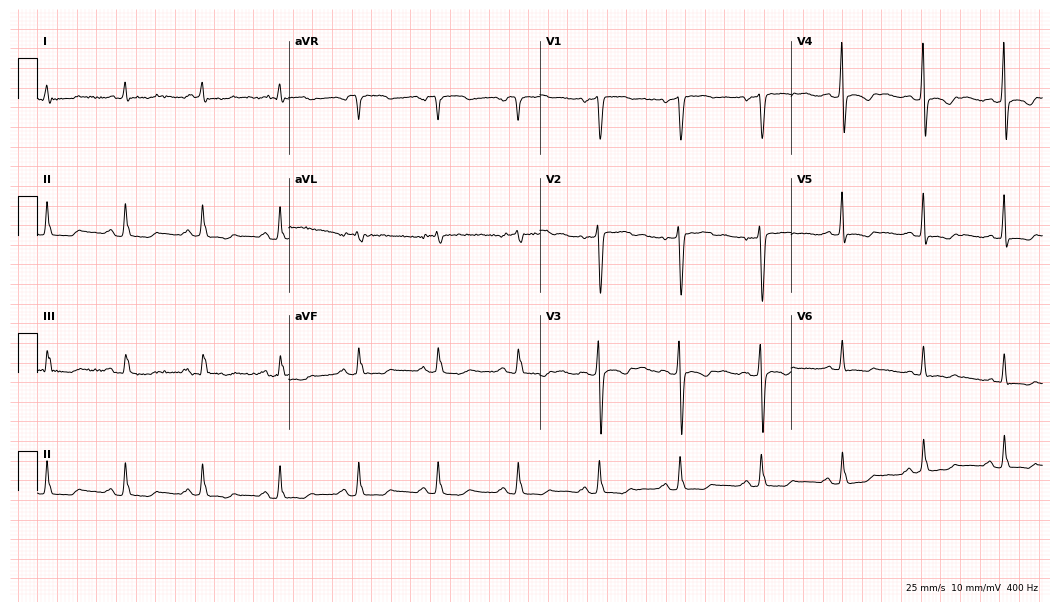
Resting 12-lead electrocardiogram. Patient: a 60-year-old woman. None of these six findings is recorded: first-degree AV block, right bundle branch block, left bundle branch block, sinus bradycardia, atrial fibrillation, sinus tachycardia.